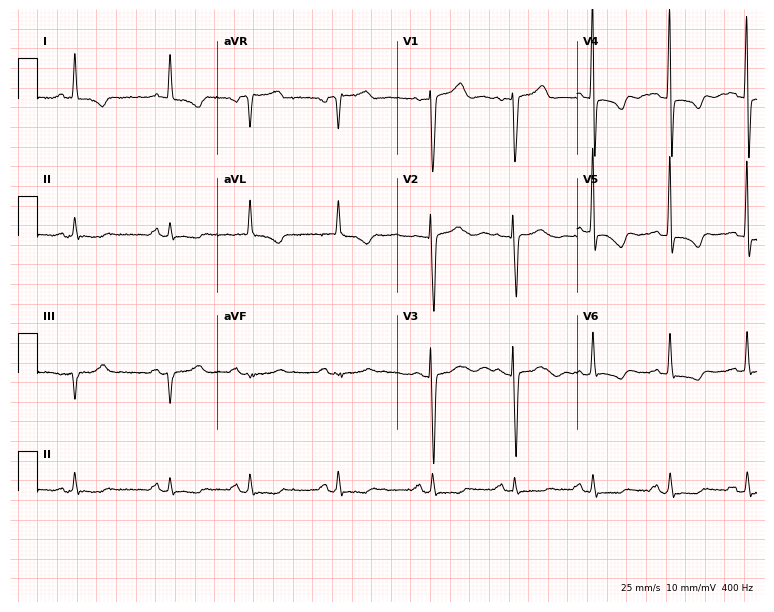
ECG (7.3-second recording at 400 Hz) — a woman, 76 years old. Screened for six findings — first-degree AV block, right bundle branch block (RBBB), left bundle branch block (LBBB), sinus bradycardia, atrial fibrillation (AF), sinus tachycardia — none is recorded. Other findings, if any, are not listed.